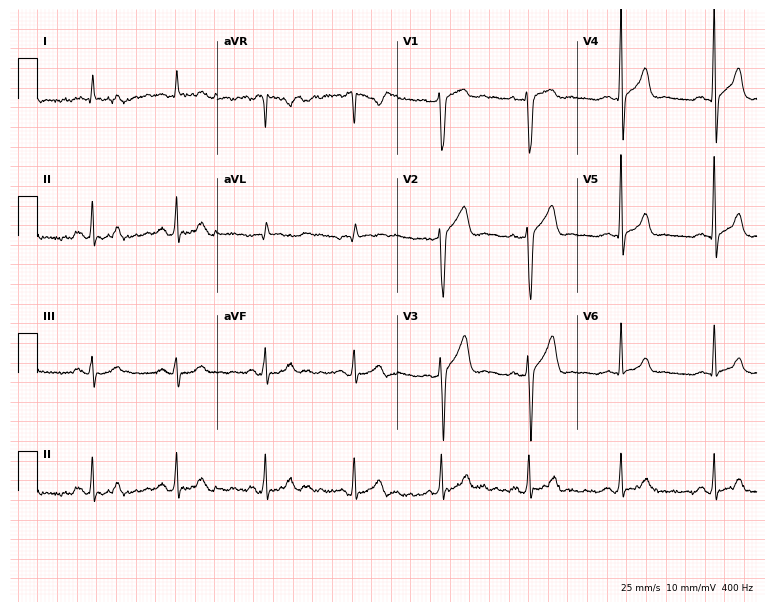
Electrocardiogram (7.3-second recording at 400 Hz), a male patient, 56 years old. Overall reading on record: normal ECG.